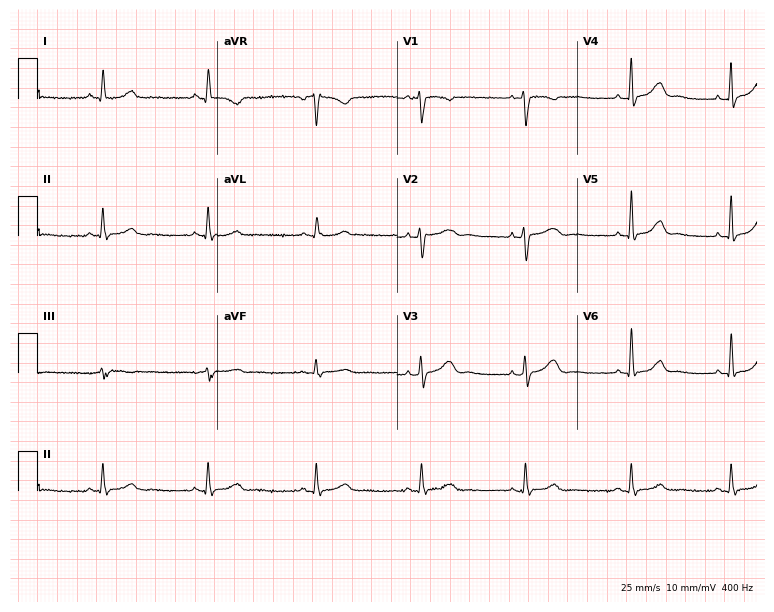
Resting 12-lead electrocardiogram. Patient: a female, 38 years old. None of these six findings is recorded: first-degree AV block, right bundle branch block, left bundle branch block, sinus bradycardia, atrial fibrillation, sinus tachycardia.